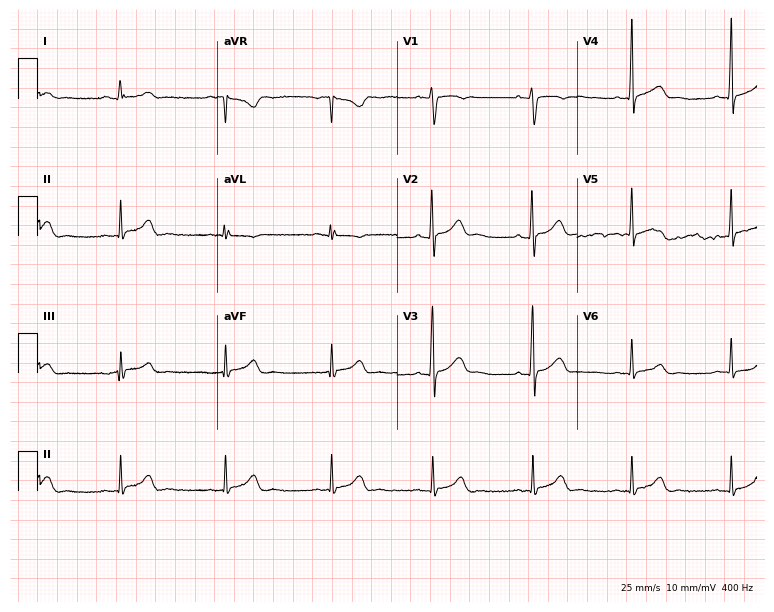
12-lead ECG (7.3-second recording at 400 Hz) from a 20-year-old man. Labelled as a normal ECG.